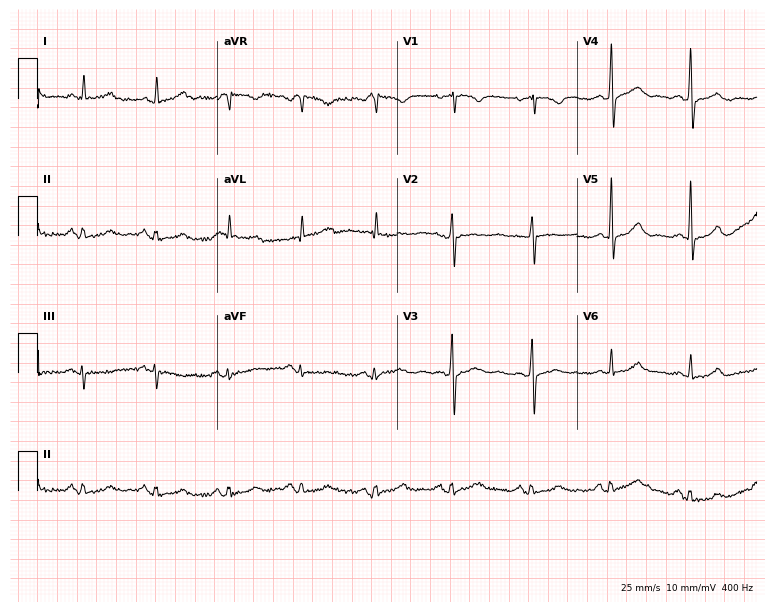
Electrocardiogram, a female, 52 years old. Overall reading on record: normal ECG.